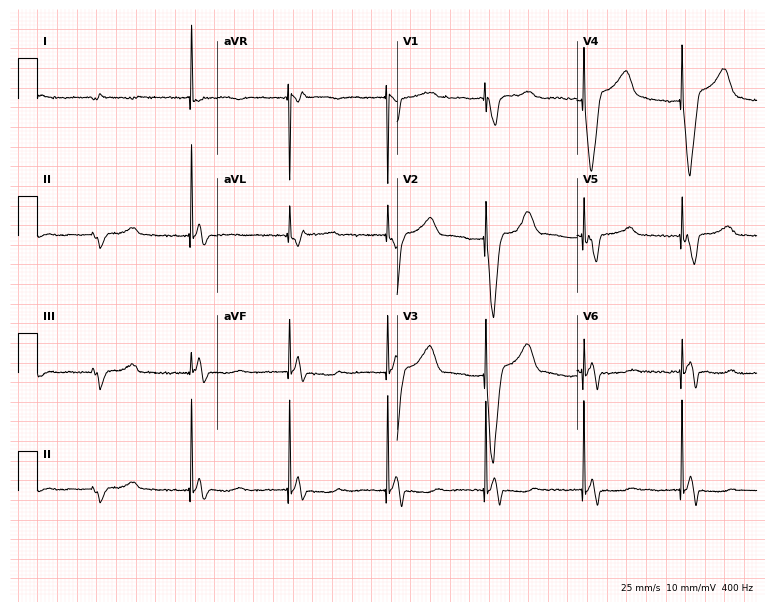
ECG — a female, 75 years old. Screened for six findings — first-degree AV block, right bundle branch block, left bundle branch block, sinus bradycardia, atrial fibrillation, sinus tachycardia — none is recorded.